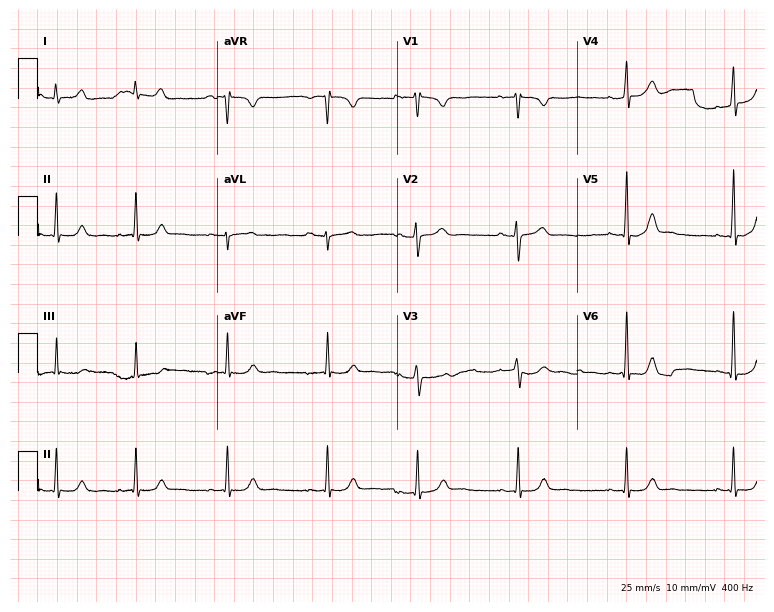
12-lead ECG from a 17-year-old female (7.3-second recording at 400 Hz). Recorded interpretation: within normal limits.